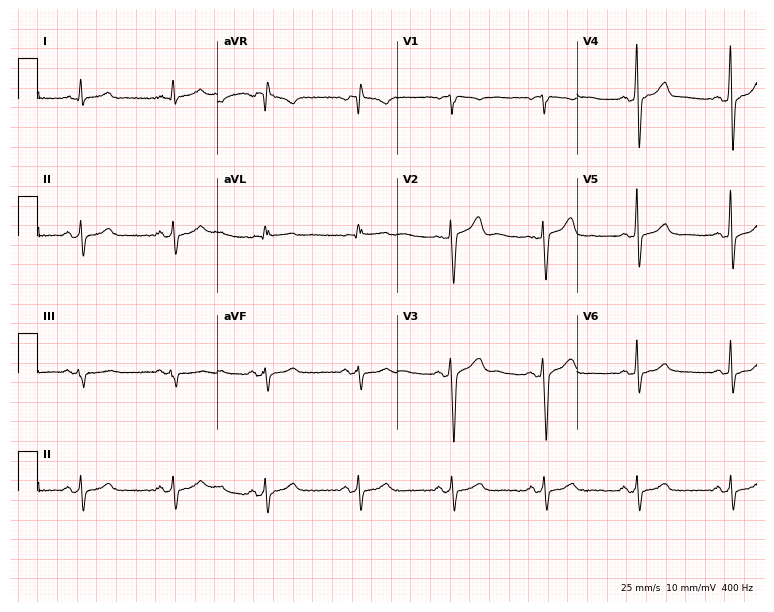
12-lead ECG from a male patient, 63 years old. Screened for six findings — first-degree AV block, right bundle branch block (RBBB), left bundle branch block (LBBB), sinus bradycardia, atrial fibrillation (AF), sinus tachycardia — none is recorded. Findings outside these six are not listed.